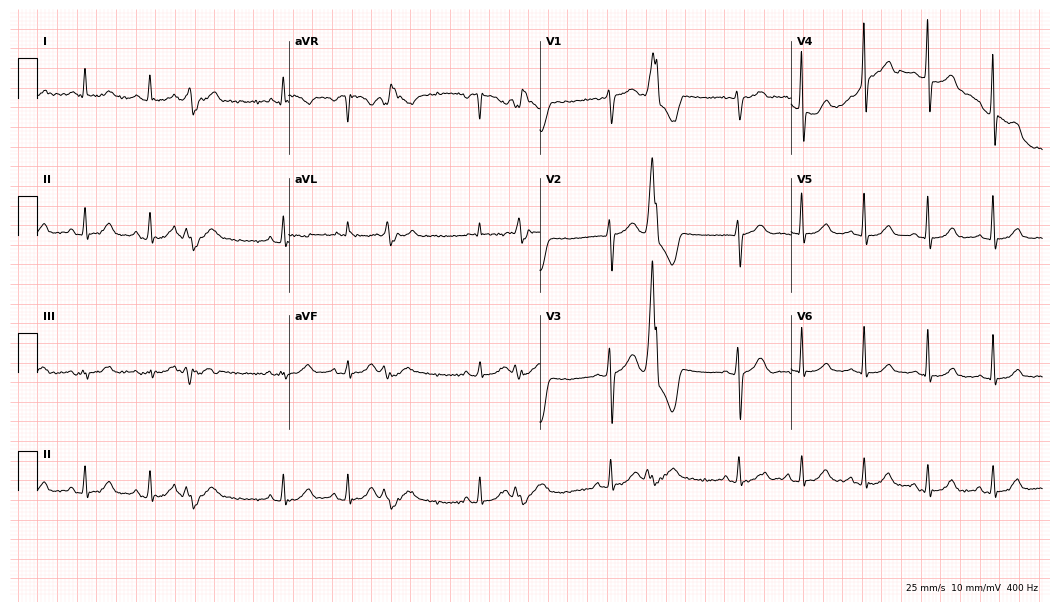
ECG — a 59-year-old female patient. Screened for six findings — first-degree AV block, right bundle branch block, left bundle branch block, sinus bradycardia, atrial fibrillation, sinus tachycardia — none is recorded. Other findings, if any, are not listed.